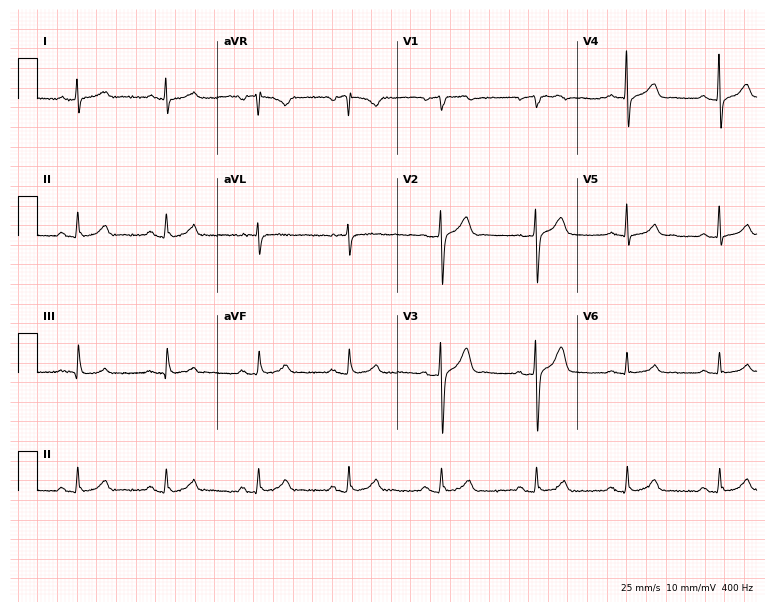
12-lead ECG from a 56-year-old man. Screened for six findings — first-degree AV block, right bundle branch block, left bundle branch block, sinus bradycardia, atrial fibrillation, sinus tachycardia — none is recorded. Only these six findings were labelled.